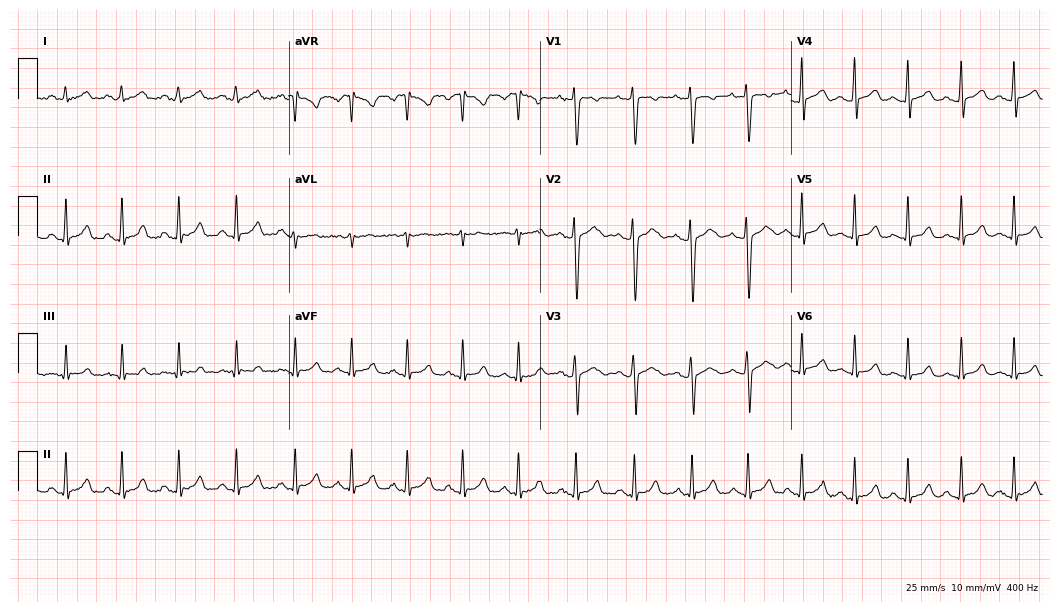
Resting 12-lead electrocardiogram. Patient: a 17-year-old female. None of these six findings is recorded: first-degree AV block, right bundle branch block, left bundle branch block, sinus bradycardia, atrial fibrillation, sinus tachycardia.